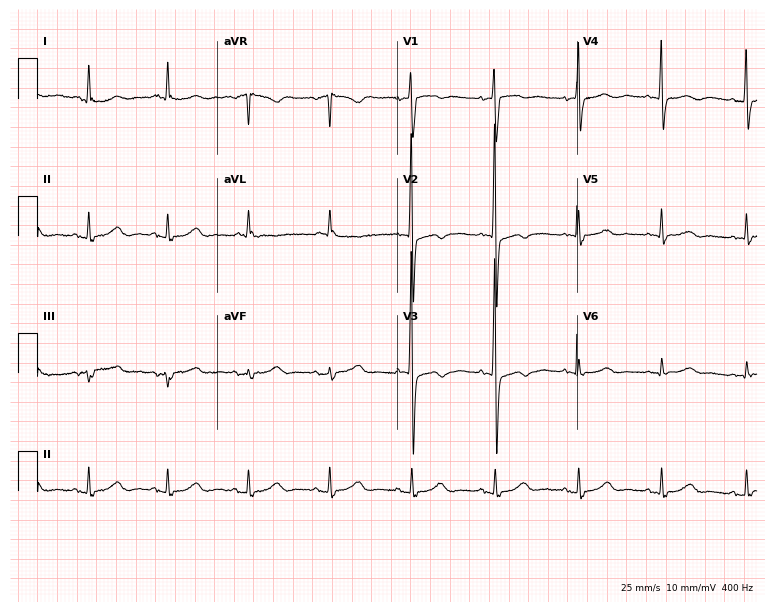
12-lead ECG from a female, 79 years old. Recorded interpretation: within normal limits.